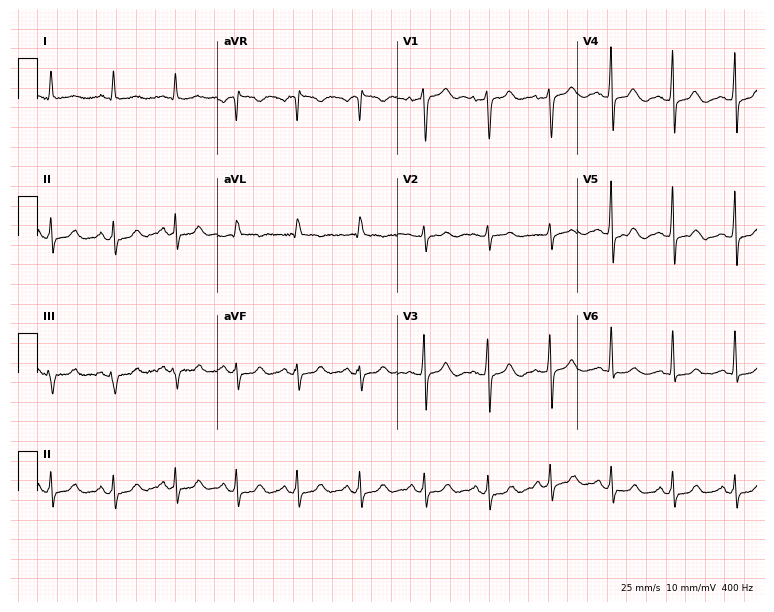
Standard 12-lead ECG recorded from a female patient, 75 years old (7.3-second recording at 400 Hz). None of these six findings is recorded: first-degree AV block, right bundle branch block (RBBB), left bundle branch block (LBBB), sinus bradycardia, atrial fibrillation (AF), sinus tachycardia.